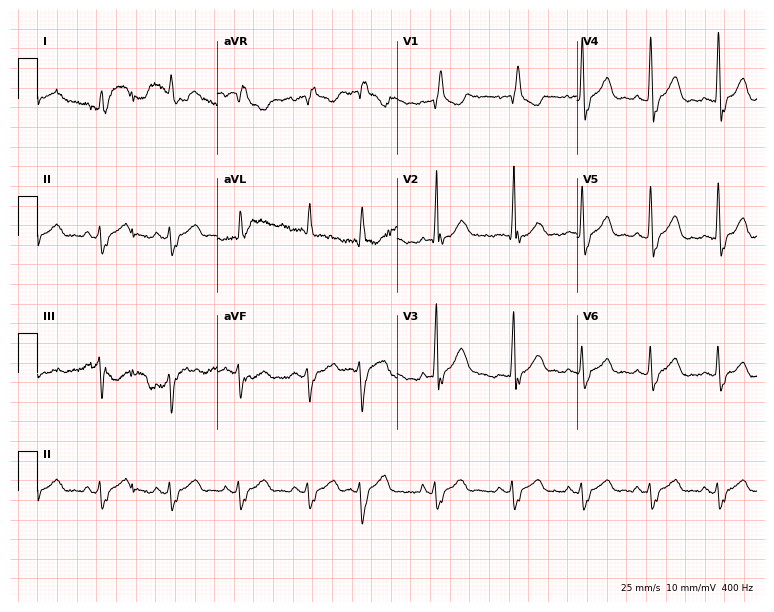
Standard 12-lead ECG recorded from an 85-year-old man. The tracing shows right bundle branch block (RBBB).